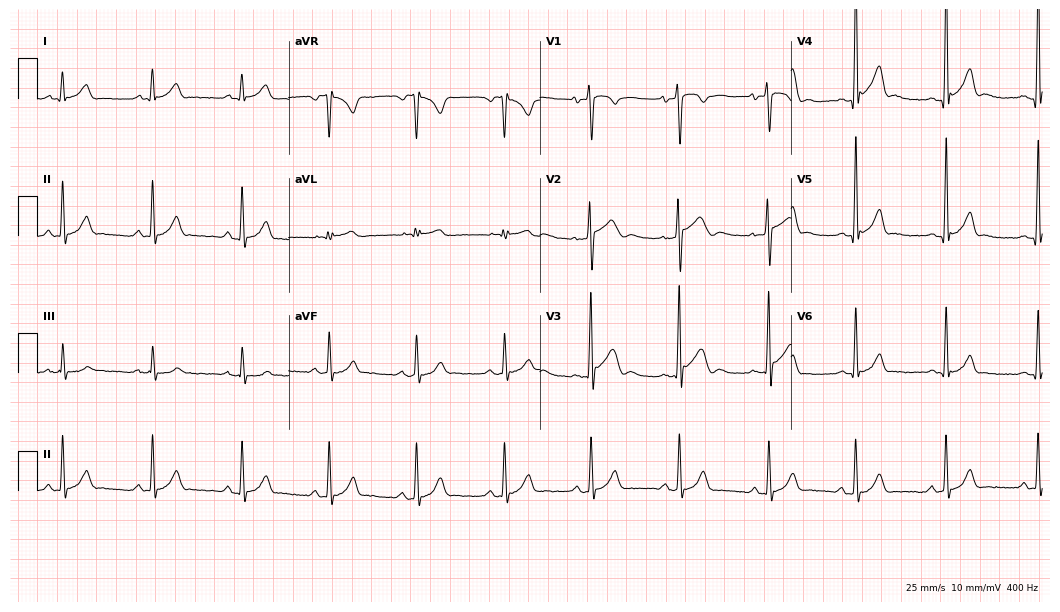
12-lead ECG from a male, 21 years old. No first-degree AV block, right bundle branch block (RBBB), left bundle branch block (LBBB), sinus bradycardia, atrial fibrillation (AF) or sinus tachycardia recorded for this tracing.